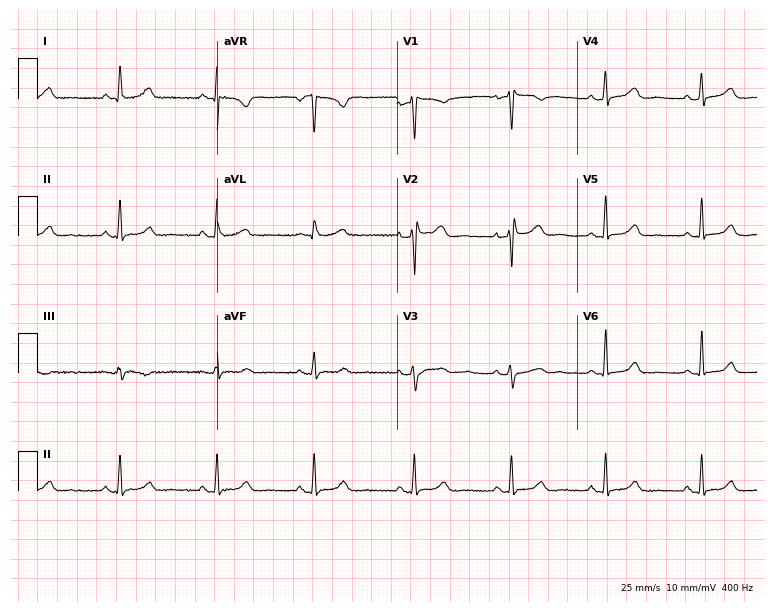
Standard 12-lead ECG recorded from a female patient, 52 years old (7.3-second recording at 400 Hz). None of these six findings is recorded: first-degree AV block, right bundle branch block (RBBB), left bundle branch block (LBBB), sinus bradycardia, atrial fibrillation (AF), sinus tachycardia.